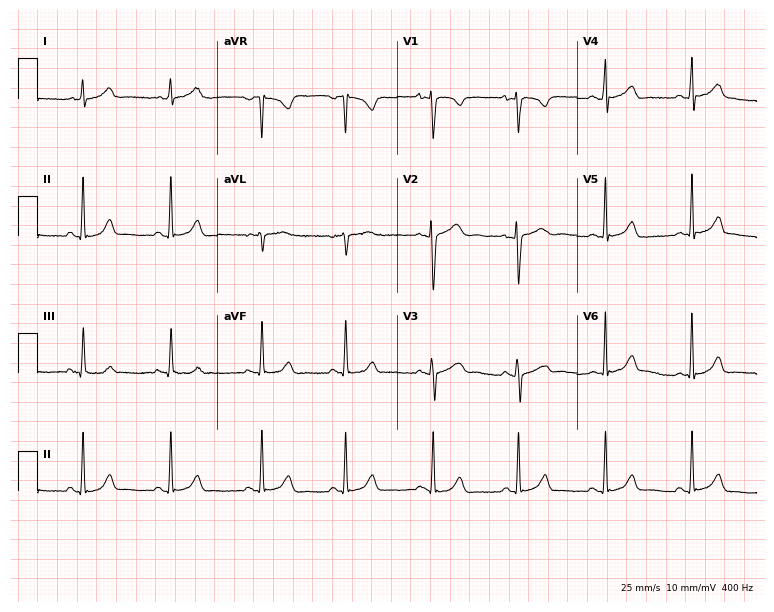
Electrocardiogram, a woman, 21 years old. Overall reading on record: normal ECG.